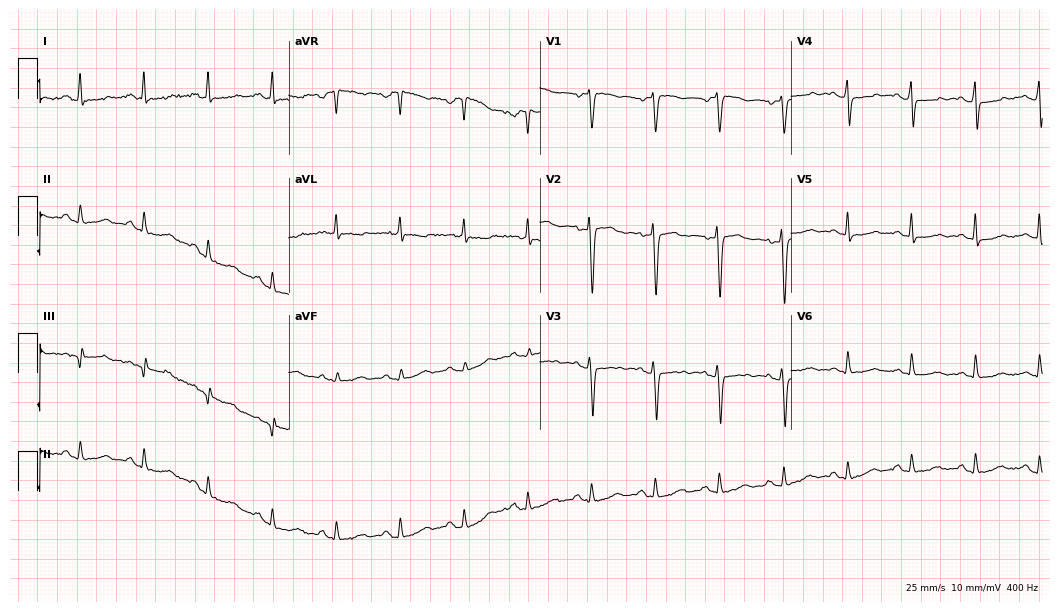
Resting 12-lead electrocardiogram (10.2-second recording at 400 Hz). Patient: a 45-year-old female. None of these six findings is recorded: first-degree AV block, right bundle branch block (RBBB), left bundle branch block (LBBB), sinus bradycardia, atrial fibrillation (AF), sinus tachycardia. Other findings, if any, are not listed.